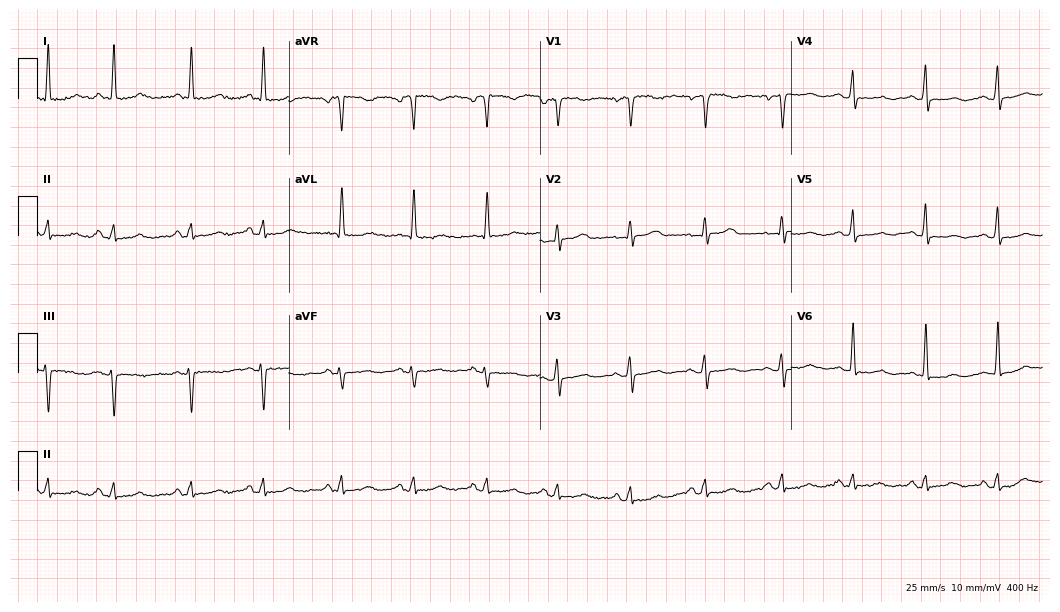
ECG (10.2-second recording at 400 Hz) — a female patient, 70 years old. Screened for six findings — first-degree AV block, right bundle branch block, left bundle branch block, sinus bradycardia, atrial fibrillation, sinus tachycardia — none is recorded. Findings outside these six are not listed.